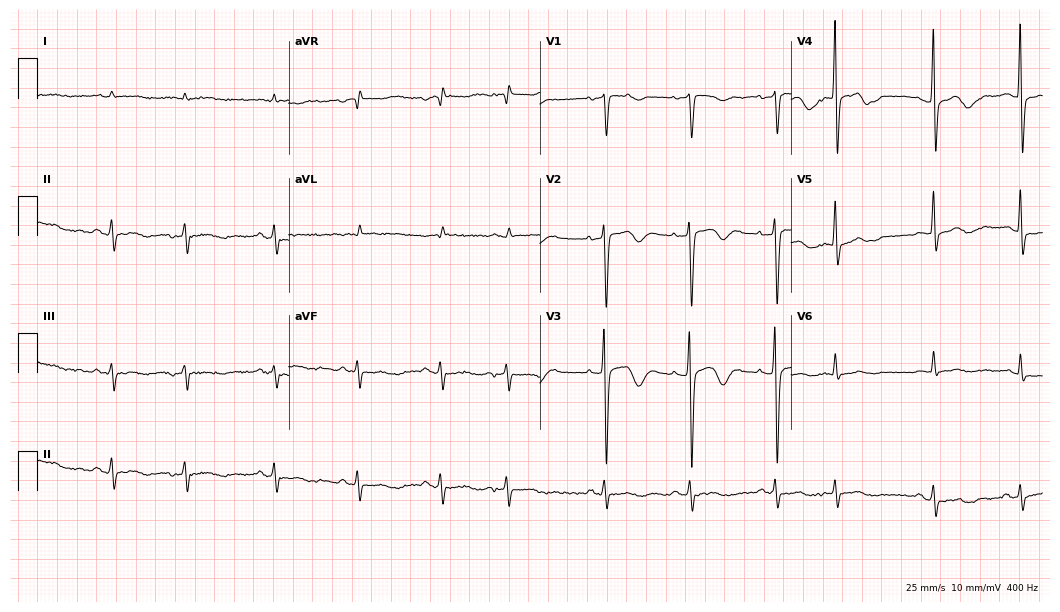
Resting 12-lead electrocardiogram. Patient: a male, 81 years old. None of these six findings is recorded: first-degree AV block, right bundle branch block, left bundle branch block, sinus bradycardia, atrial fibrillation, sinus tachycardia.